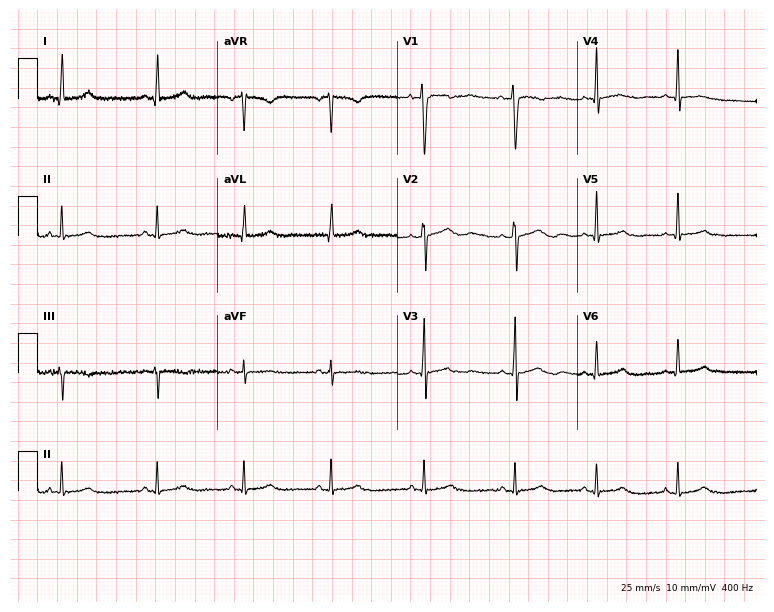
12-lead ECG from a 22-year-old female patient (7.3-second recording at 400 Hz). Recorded interpretation: within normal limits.